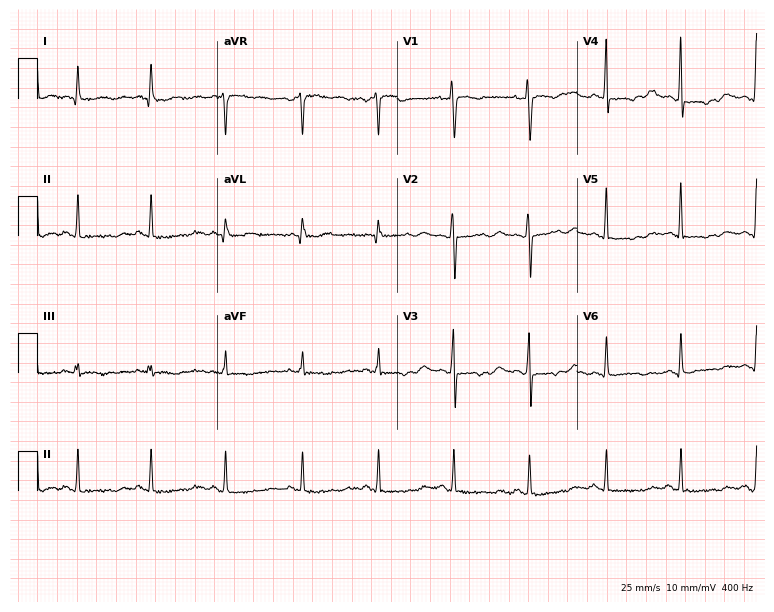
Electrocardiogram, a female patient, 58 years old. Of the six screened findings (first-degree AV block, right bundle branch block (RBBB), left bundle branch block (LBBB), sinus bradycardia, atrial fibrillation (AF), sinus tachycardia), none is recorded.